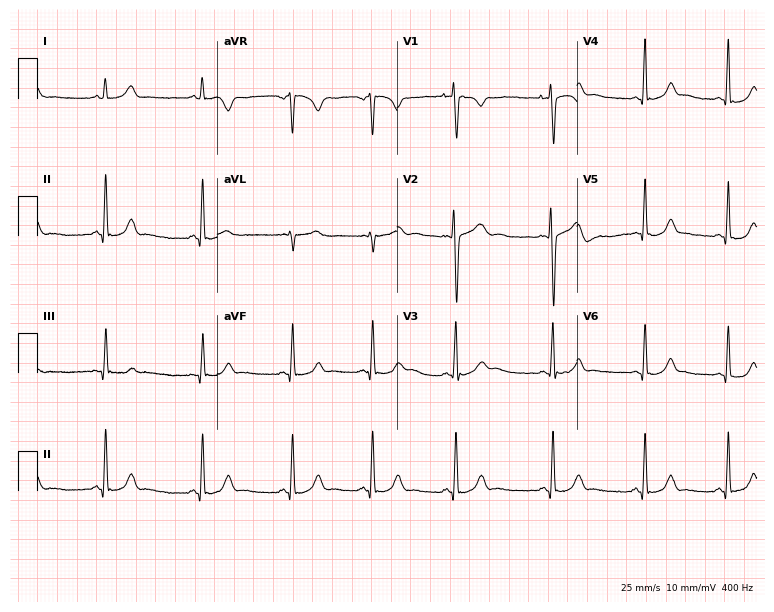
12-lead ECG from an 18-year-old female patient. Labelled as a normal ECG.